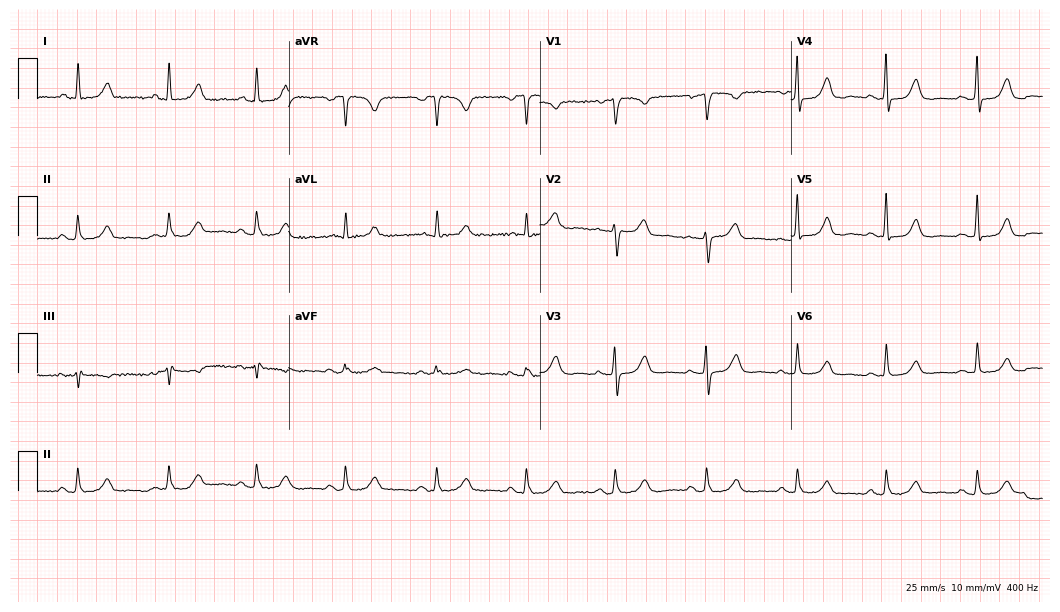
12-lead ECG from a 60-year-old female patient. Labelled as a normal ECG.